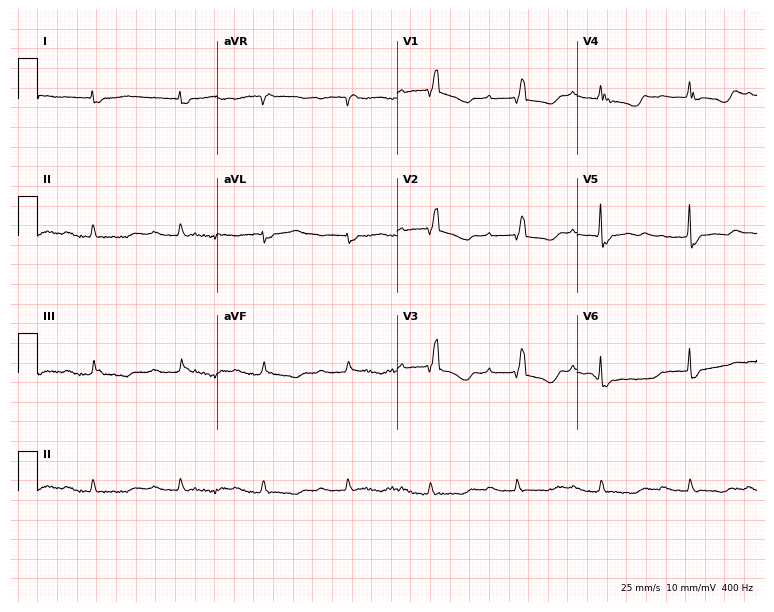
ECG (7.3-second recording at 400 Hz) — a 68-year-old female patient. Findings include first-degree AV block, right bundle branch block.